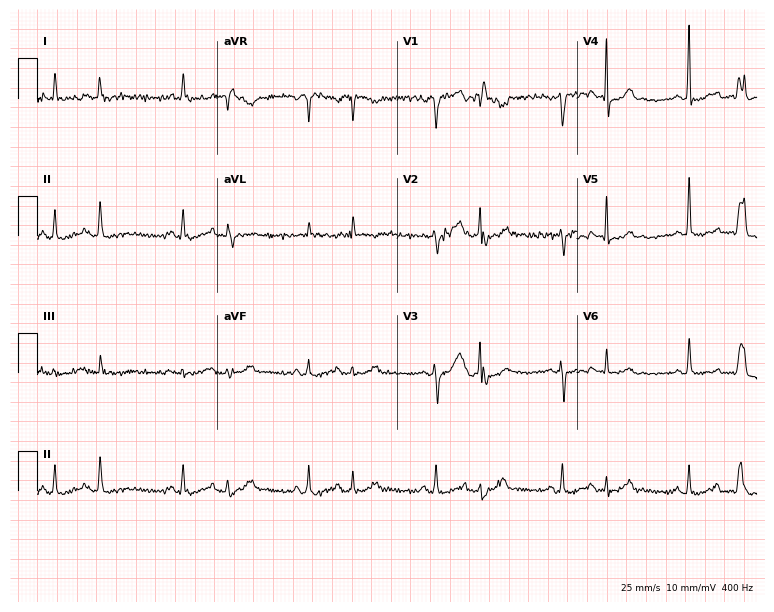
Standard 12-lead ECG recorded from a 55-year-old man. None of these six findings is recorded: first-degree AV block, right bundle branch block (RBBB), left bundle branch block (LBBB), sinus bradycardia, atrial fibrillation (AF), sinus tachycardia.